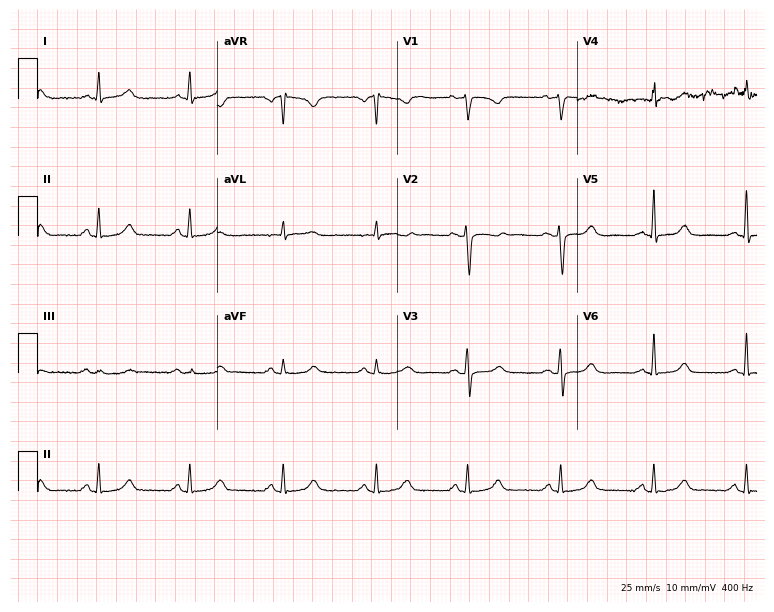
12-lead ECG from a 42-year-old woman. Labelled as a normal ECG.